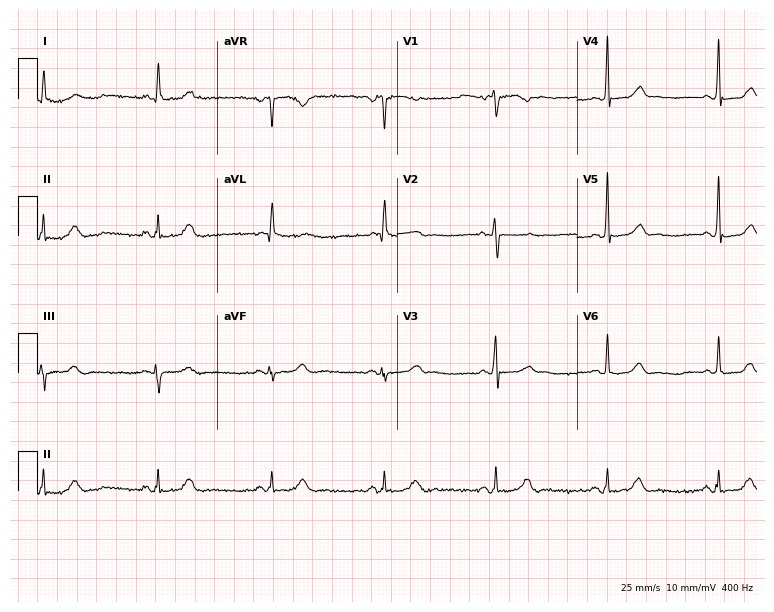
ECG — a 62-year-old female patient. Labelled as a normal ECG.